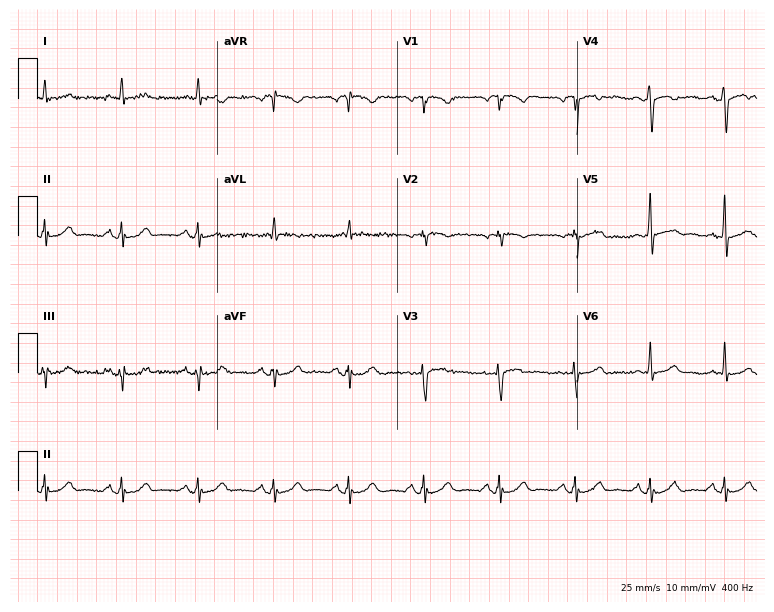
Electrocardiogram, a male patient, 64 years old. Of the six screened findings (first-degree AV block, right bundle branch block, left bundle branch block, sinus bradycardia, atrial fibrillation, sinus tachycardia), none is recorded.